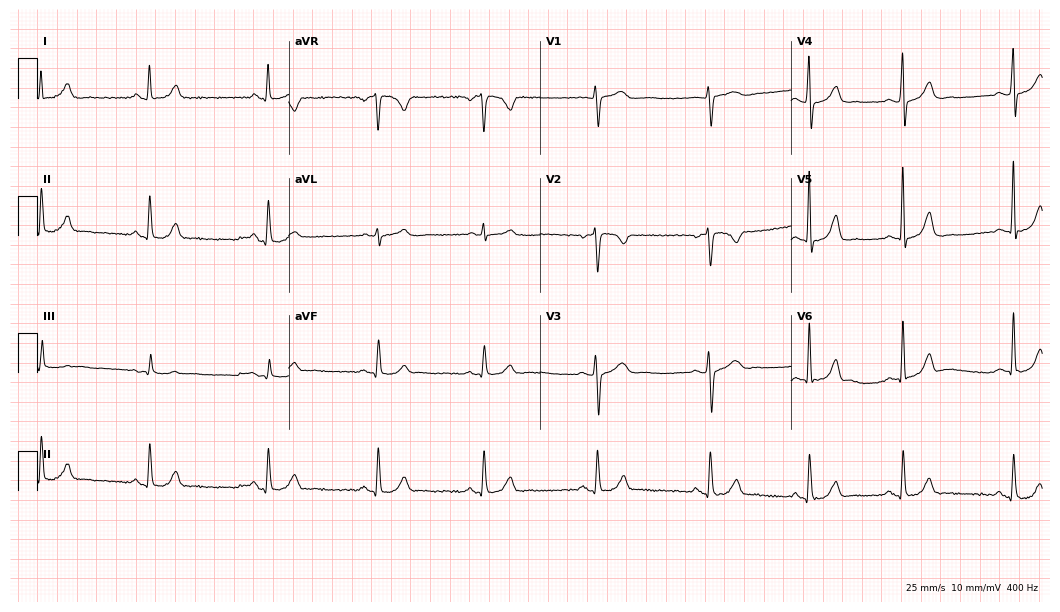
Resting 12-lead electrocardiogram. Patient: a female, 30 years old. Read as a normal ECG.